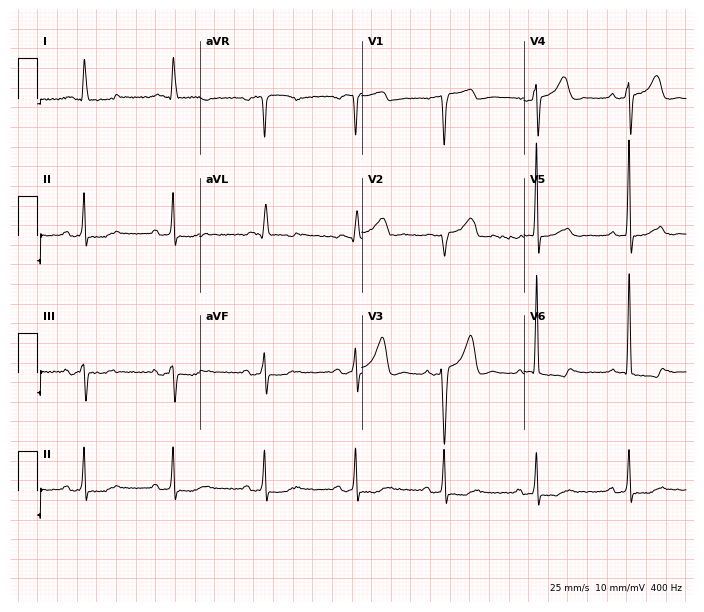
ECG (6.6-second recording at 400 Hz) — a 66-year-old female. Screened for six findings — first-degree AV block, right bundle branch block (RBBB), left bundle branch block (LBBB), sinus bradycardia, atrial fibrillation (AF), sinus tachycardia — none is recorded.